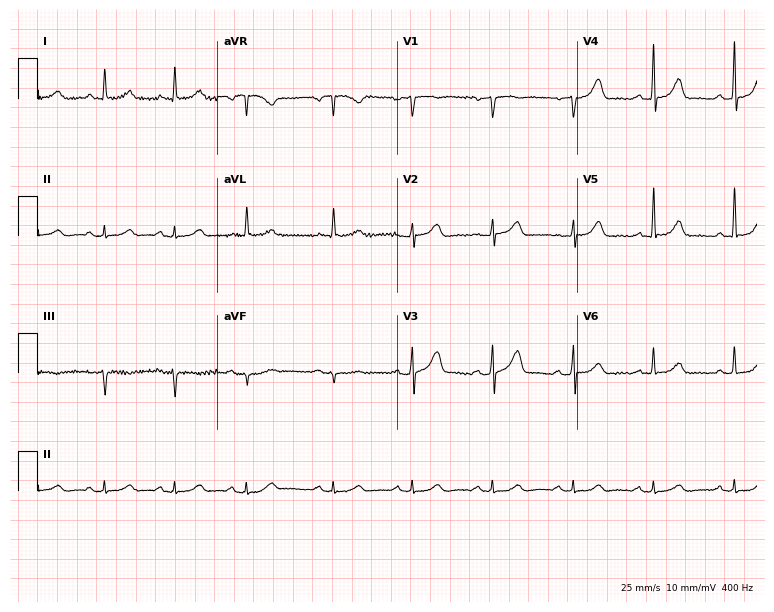
ECG (7.3-second recording at 400 Hz) — an 84-year-old man. Labelled as a normal ECG.